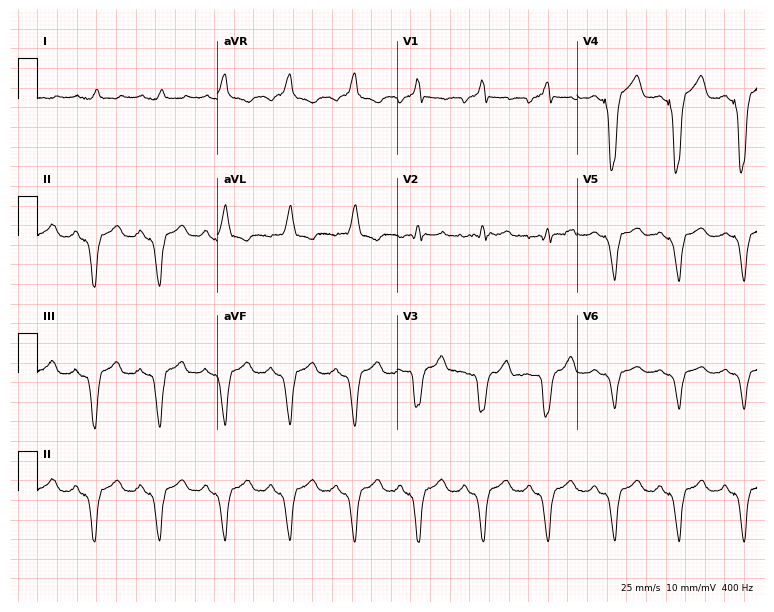
Resting 12-lead electrocardiogram. Patient: a man, 51 years old. None of these six findings is recorded: first-degree AV block, right bundle branch block, left bundle branch block, sinus bradycardia, atrial fibrillation, sinus tachycardia. Other findings, if any, are not listed.